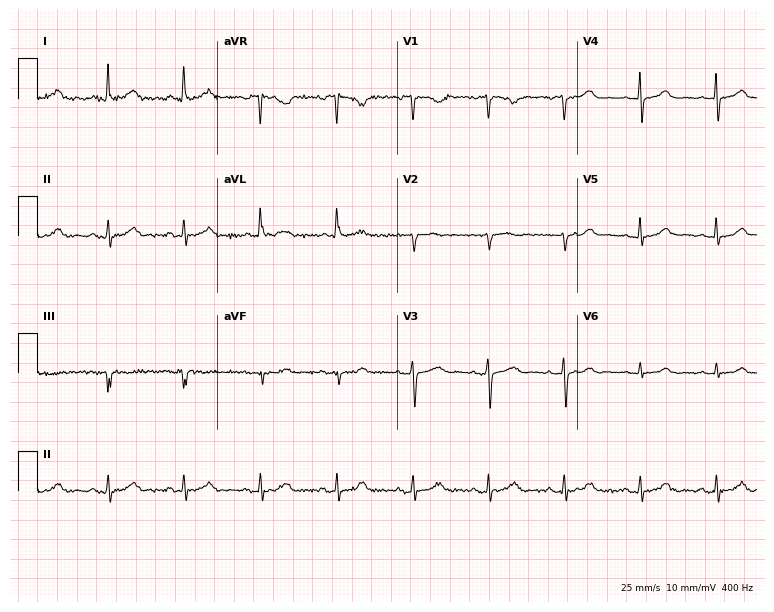
ECG — an 84-year-old female. Labelled as a normal ECG.